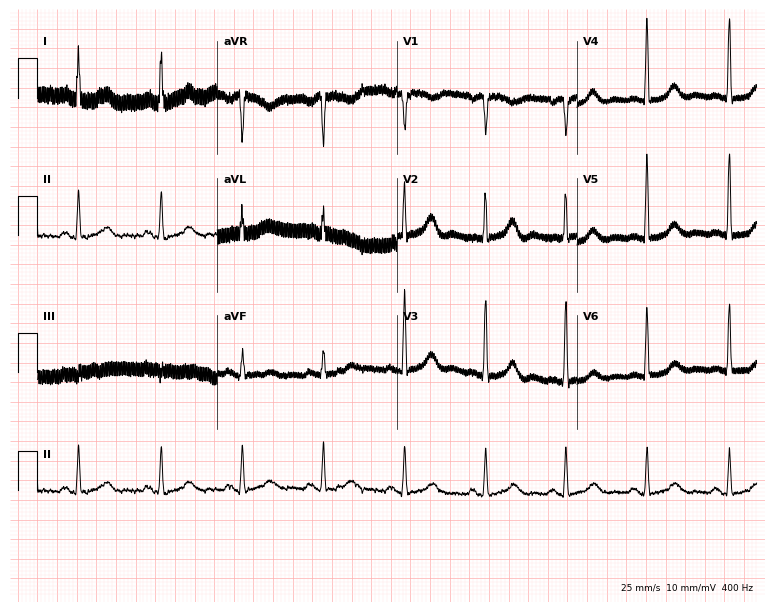
12-lead ECG from a female patient, 80 years old. Labelled as a normal ECG.